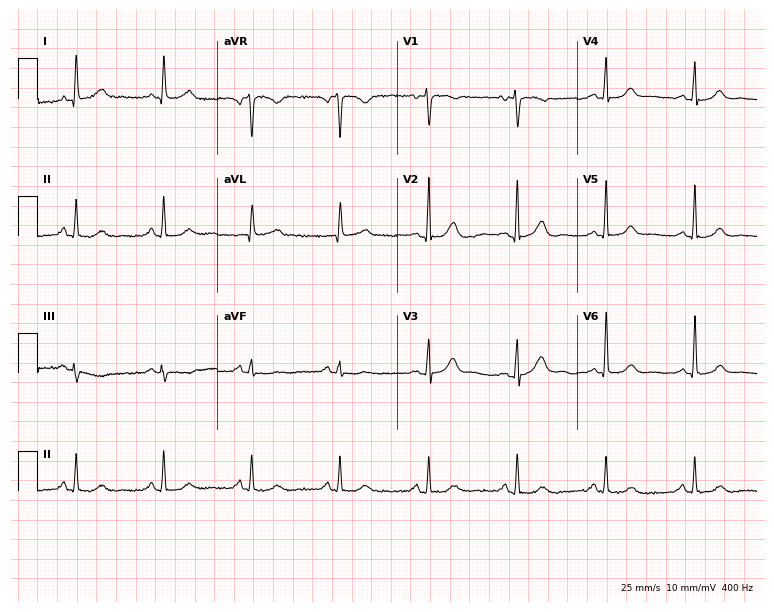
Standard 12-lead ECG recorded from a female, 67 years old. Read as a normal ECG.